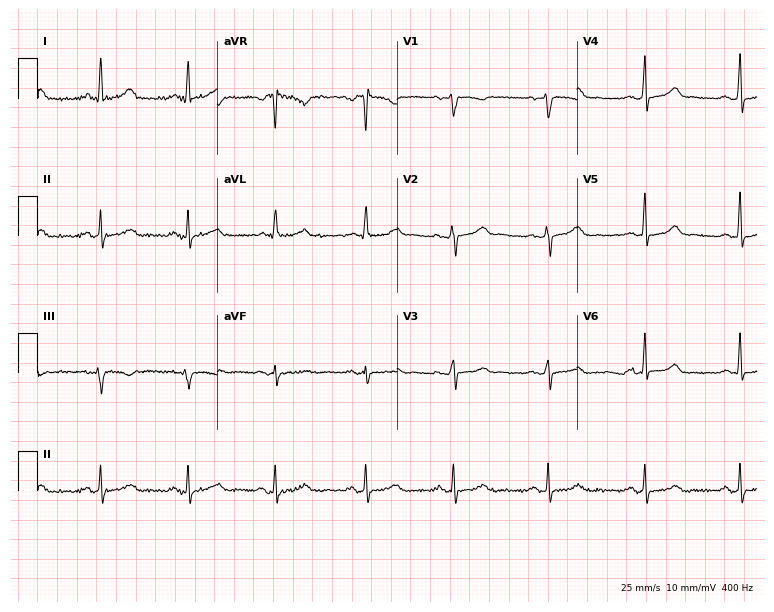
Electrocardiogram (7.3-second recording at 400 Hz), a 48-year-old female patient. Of the six screened findings (first-degree AV block, right bundle branch block (RBBB), left bundle branch block (LBBB), sinus bradycardia, atrial fibrillation (AF), sinus tachycardia), none is recorded. Findings outside these six are not listed.